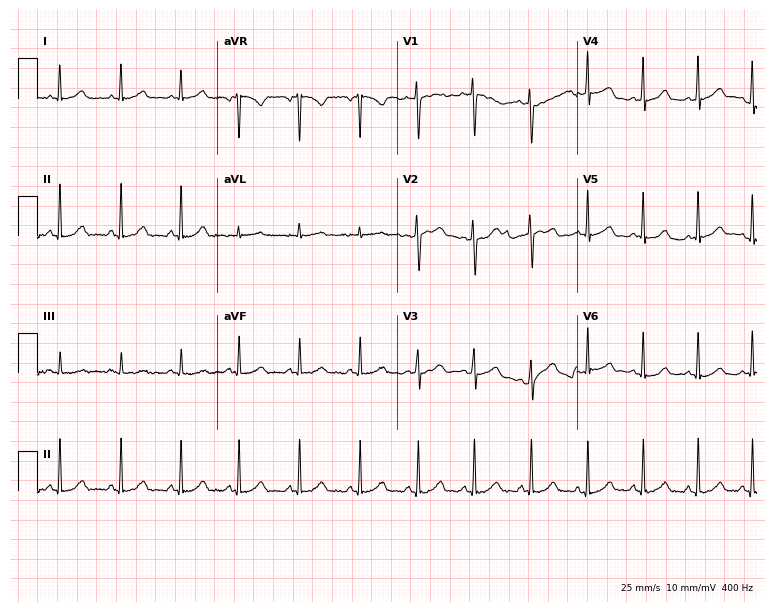
Resting 12-lead electrocardiogram (7.3-second recording at 400 Hz). Patient: a 31-year-old female. Read as a normal ECG.